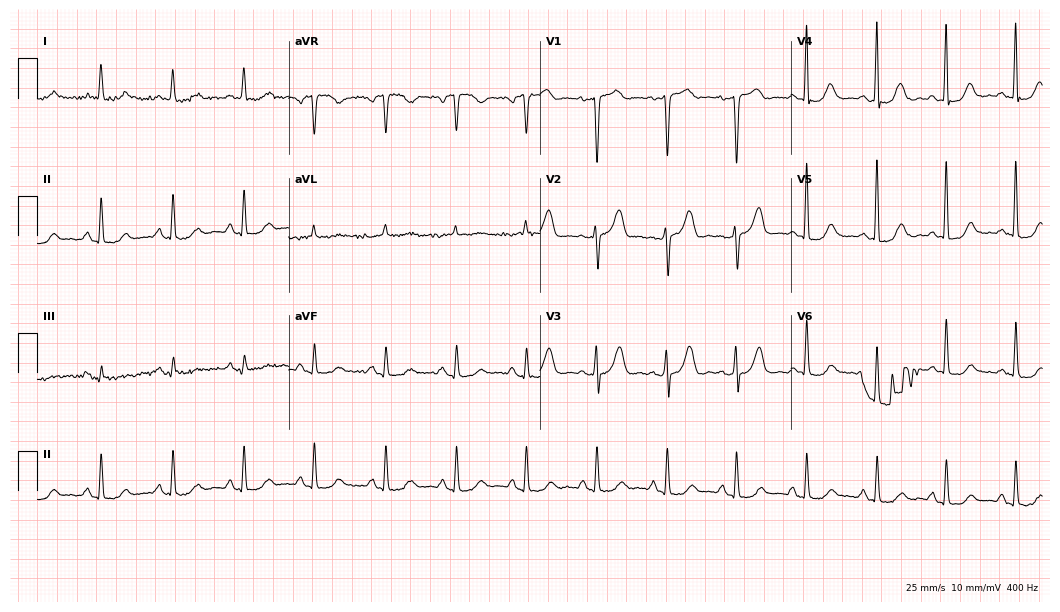
Resting 12-lead electrocardiogram (10.2-second recording at 400 Hz). Patient: a female, 72 years old. Read as a normal ECG.